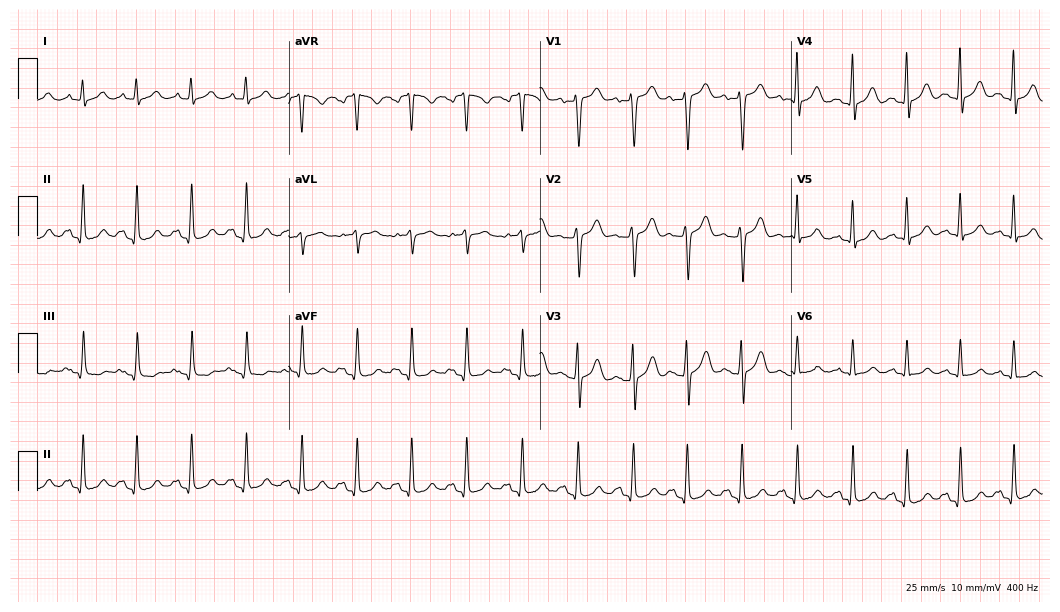
12-lead ECG from a 58-year-old male patient. Shows sinus tachycardia (a sinus rate of 100 beats per minute or more).